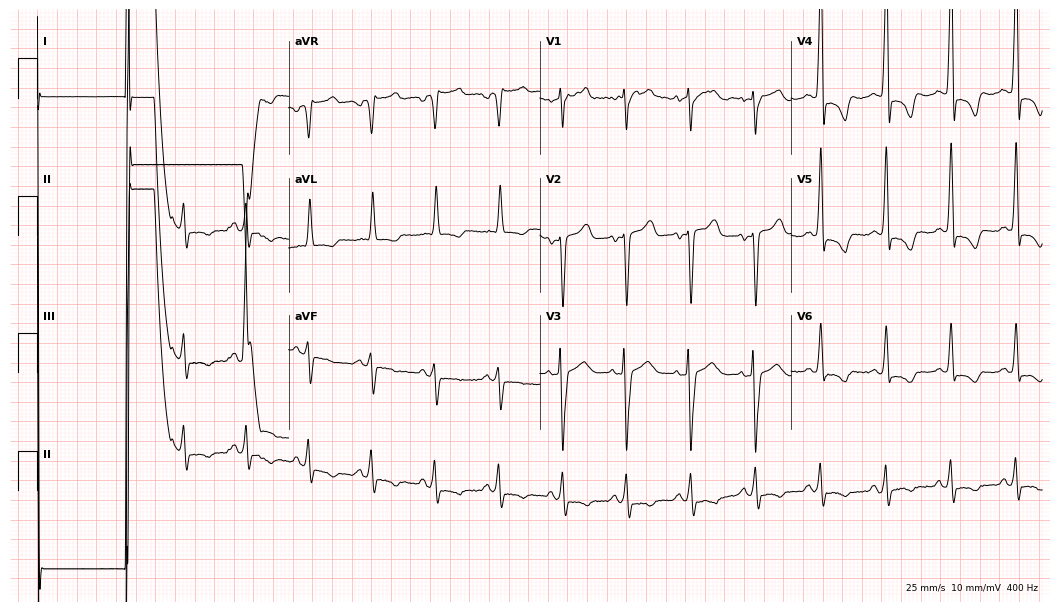
12-lead ECG from an 84-year-old male. Screened for six findings — first-degree AV block, right bundle branch block, left bundle branch block, sinus bradycardia, atrial fibrillation, sinus tachycardia — none is recorded.